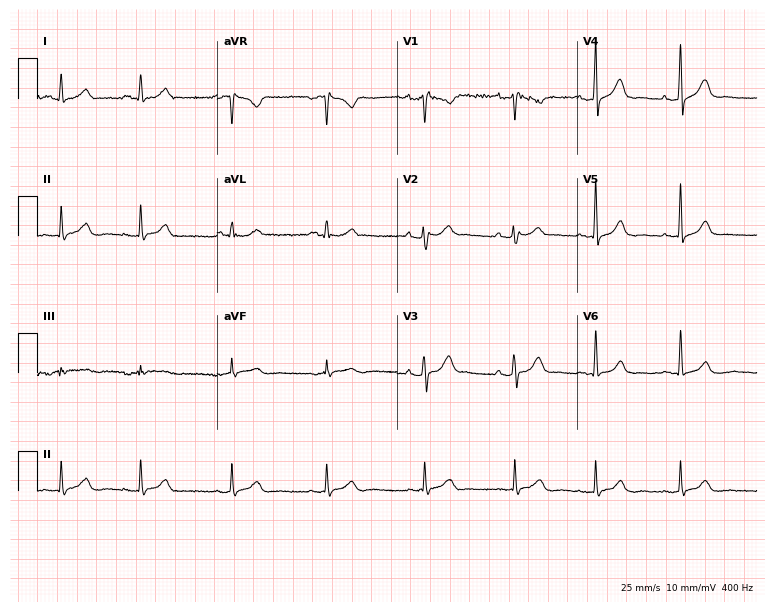
Electrocardiogram, a female, 34 years old. Overall reading on record: normal ECG.